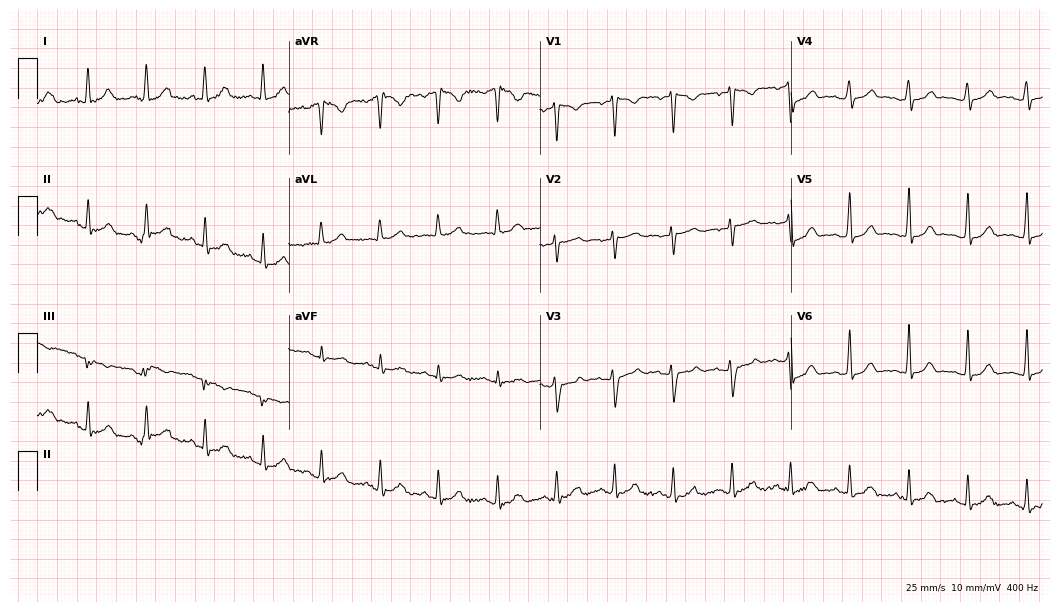
Electrocardiogram, a 43-year-old female patient. Interpretation includes sinus tachycardia (a sinus rate of 100 beats per minute or more).